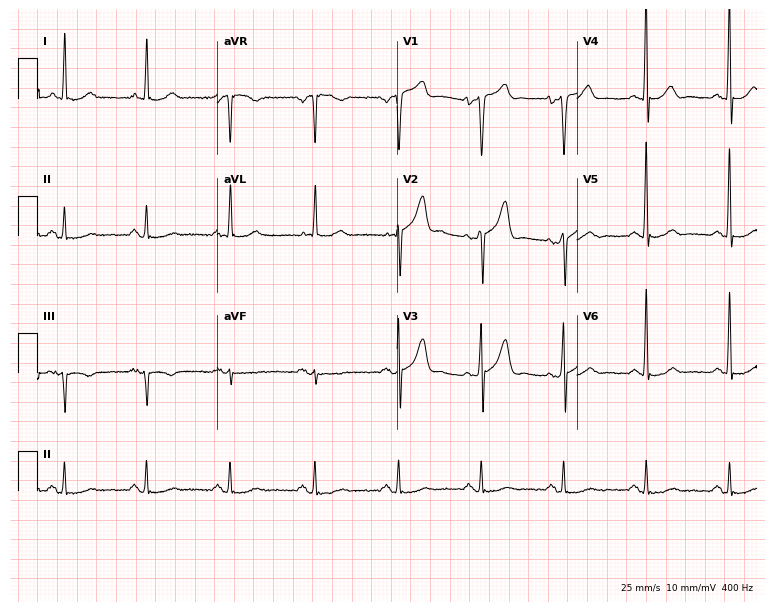
Standard 12-lead ECG recorded from a 67-year-old man. None of these six findings is recorded: first-degree AV block, right bundle branch block (RBBB), left bundle branch block (LBBB), sinus bradycardia, atrial fibrillation (AF), sinus tachycardia. Findings outside these six are not listed.